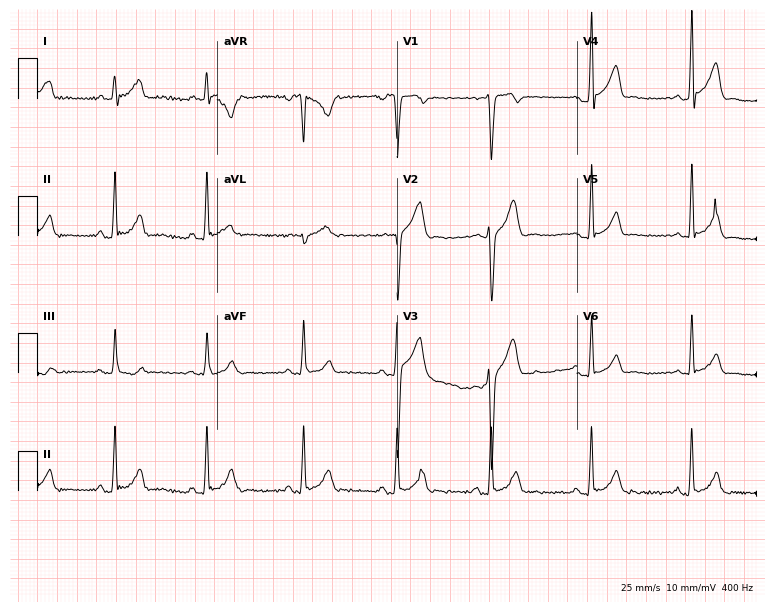
Electrocardiogram, a 21-year-old male. Of the six screened findings (first-degree AV block, right bundle branch block, left bundle branch block, sinus bradycardia, atrial fibrillation, sinus tachycardia), none is recorded. Other findings, if any, are not listed.